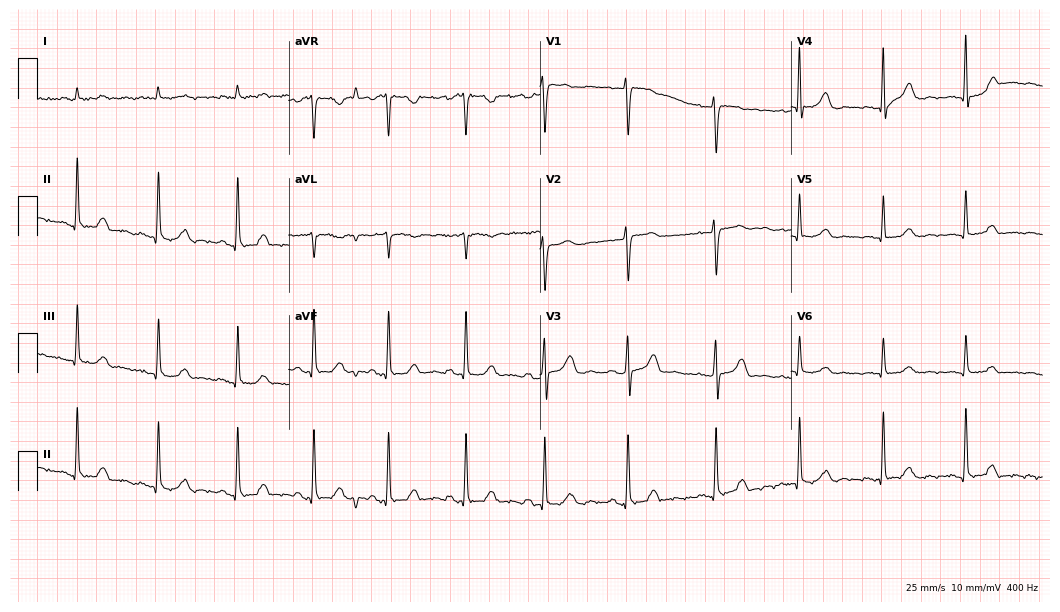
12-lead ECG from a 54-year-old female patient. Screened for six findings — first-degree AV block, right bundle branch block, left bundle branch block, sinus bradycardia, atrial fibrillation, sinus tachycardia — none is recorded.